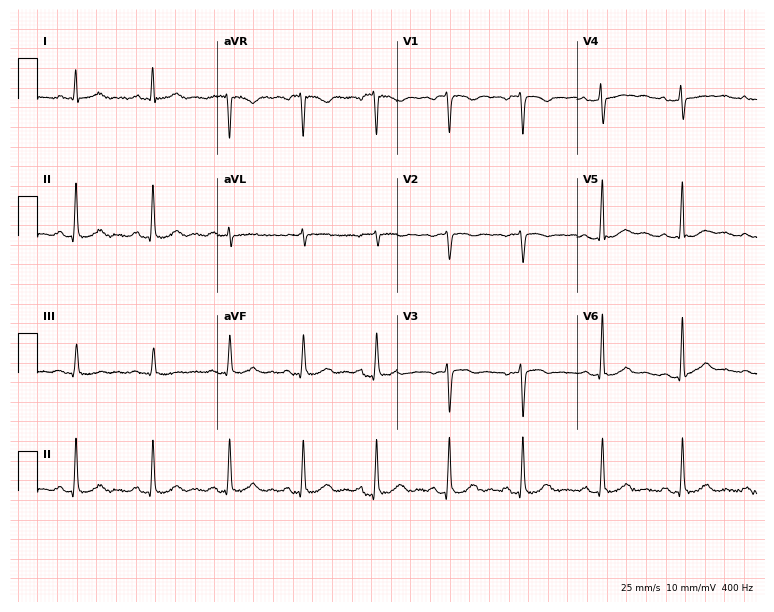
12-lead ECG from a 54-year-old female patient (7.3-second recording at 400 Hz). Recorded interpretation: within normal limits.